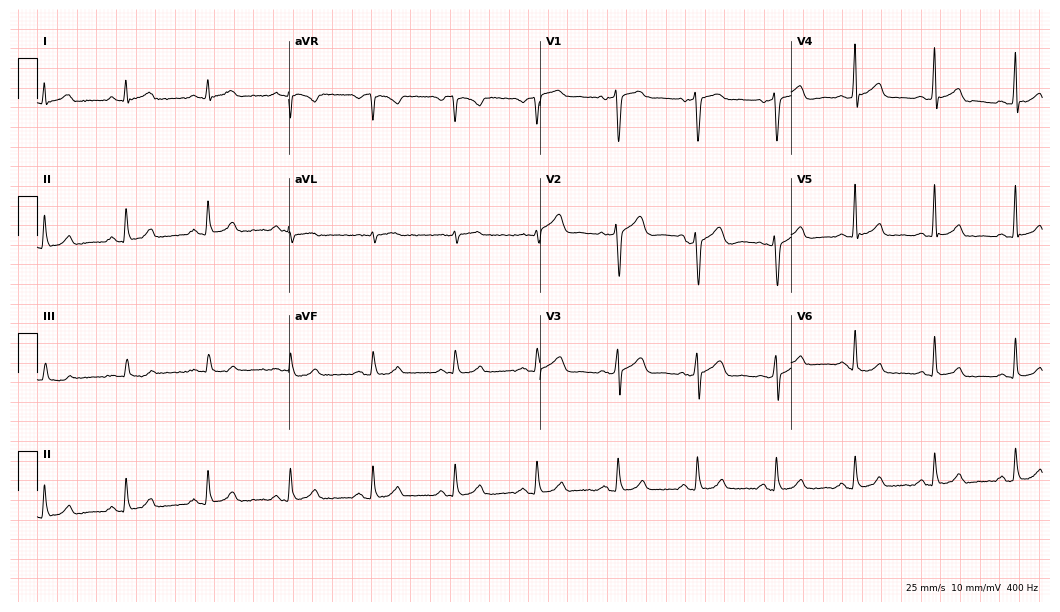
12-lead ECG from a 52-year-old male patient. Screened for six findings — first-degree AV block, right bundle branch block (RBBB), left bundle branch block (LBBB), sinus bradycardia, atrial fibrillation (AF), sinus tachycardia — none is recorded. Other findings, if any, are not listed.